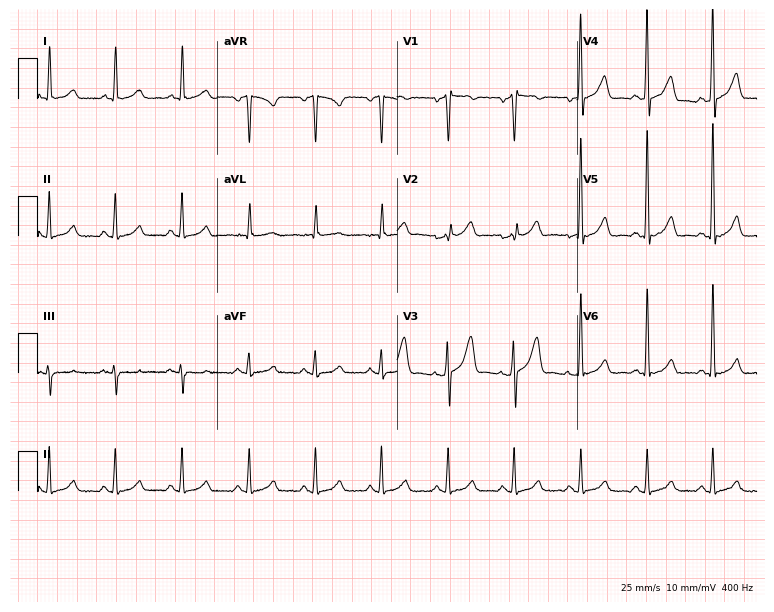
Standard 12-lead ECG recorded from a male patient, 64 years old (7.3-second recording at 400 Hz). None of these six findings is recorded: first-degree AV block, right bundle branch block (RBBB), left bundle branch block (LBBB), sinus bradycardia, atrial fibrillation (AF), sinus tachycardia.